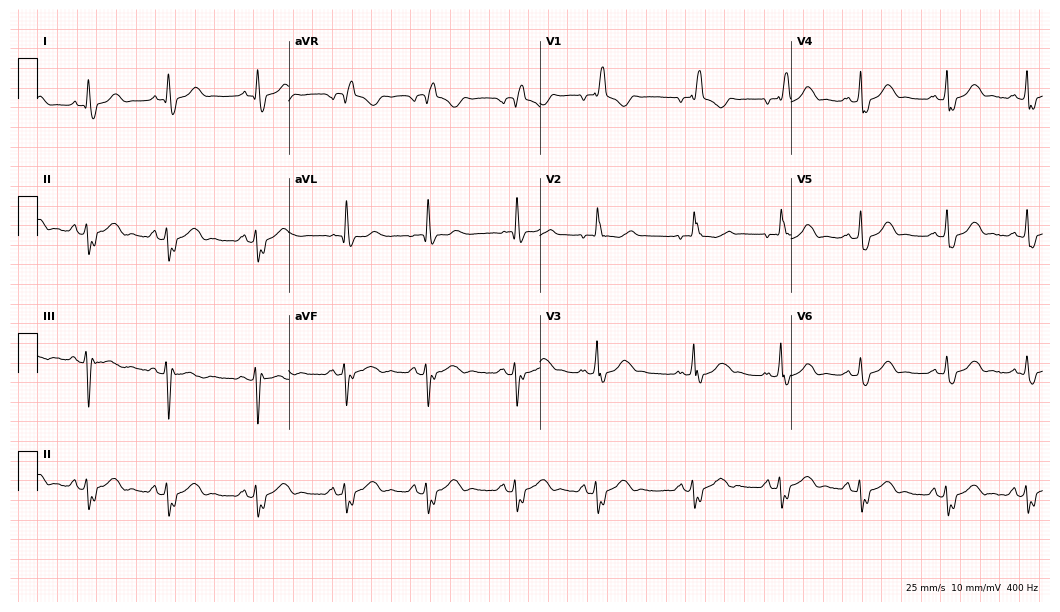
Electrocardiogram, a 67-year-old male. Interpretation includes right bundle branch block.